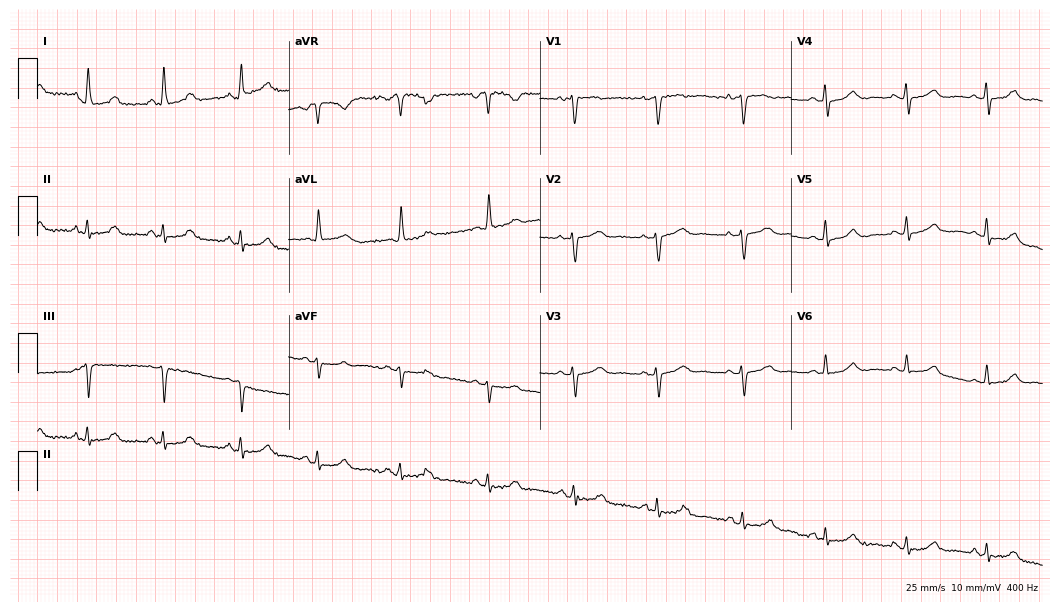
Standard 12-lead ECG recorded from a female, 36 years old (10.2-second recording at 400 Hz). Read as a normal ECG.